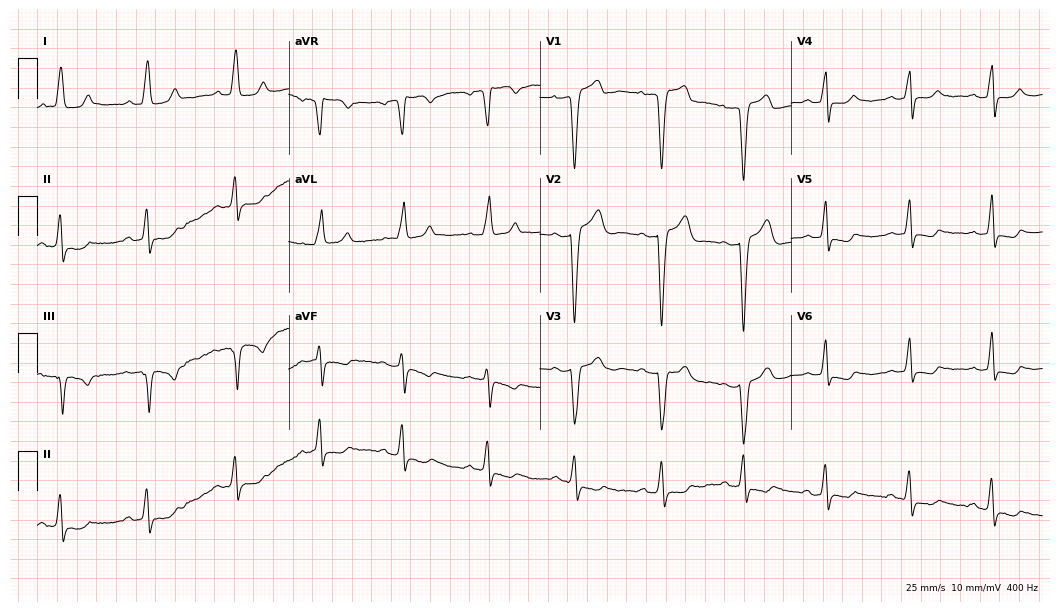
Resting 12-lead electrocardiogram (10.2-second recording at 400 Hz). Patient: an 82-year-old female. The tracing shows left bundle branch block.